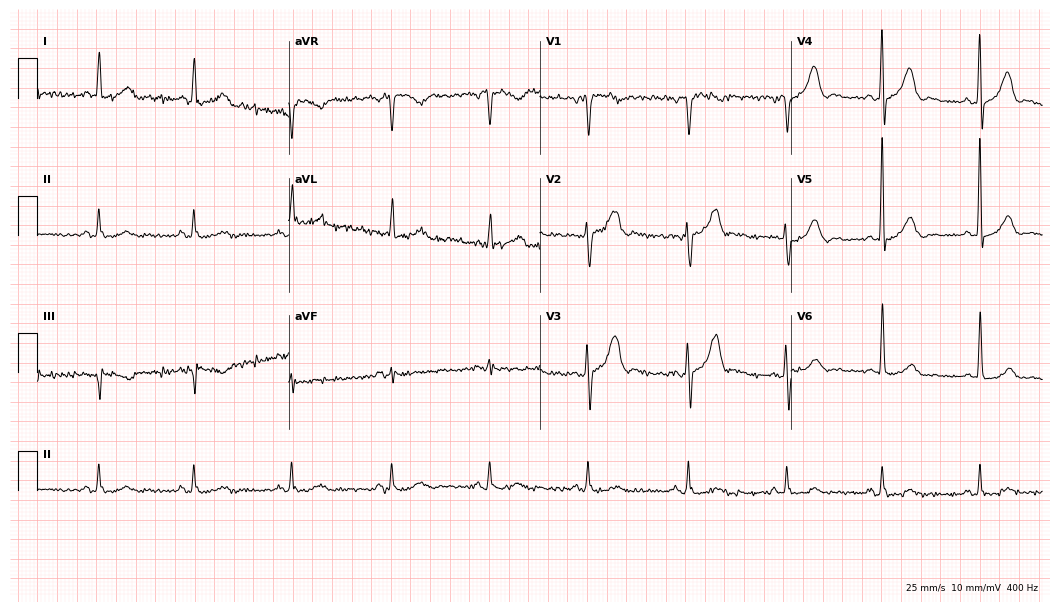
12-lead ECG from a 77-year-old male. No first-degree AV block, right bundle branch block (RBBB), left bundle branch block (LBBB), sinus bradycardia, atrial fibrillation (AF) or sinus tachycardia recorded for this tracing. Findings outside these six are not listed.